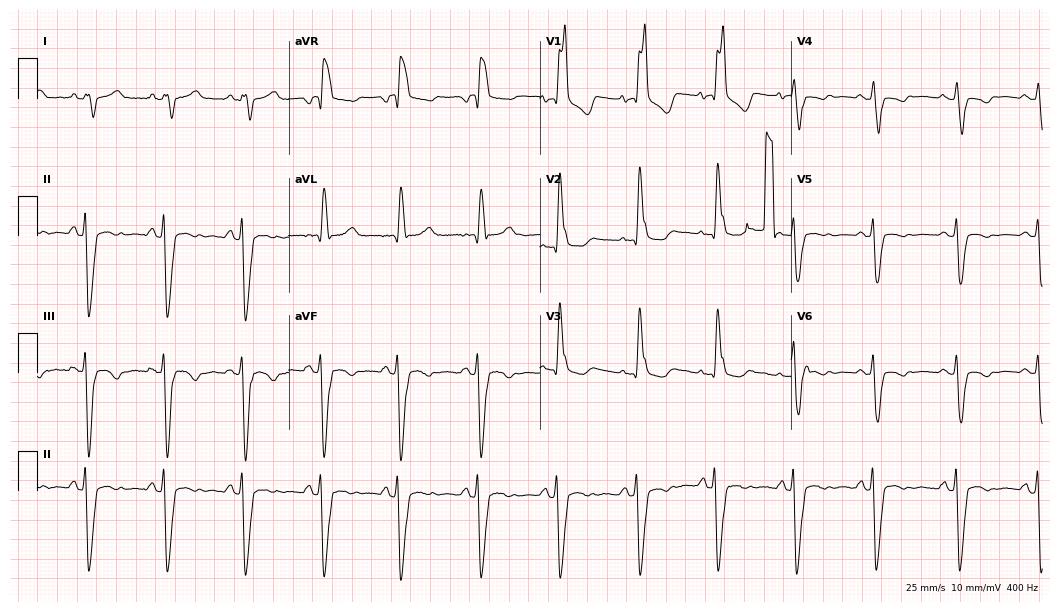
ECG — a female patient, 55 years old. Findings include right bundle branch block.